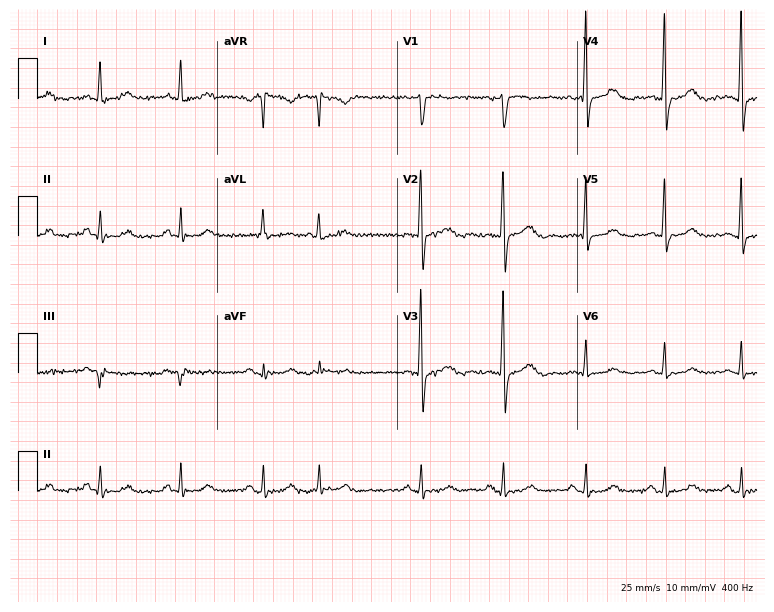
ECG — a female, 59 years old. Screened for six findings — first-degree AV block, right bundle branch block (RBBB), left bundle branch block (LBBB), sinus bradycardia, atrial fibrillation (AF), sinus tachycardia — none is recorded.